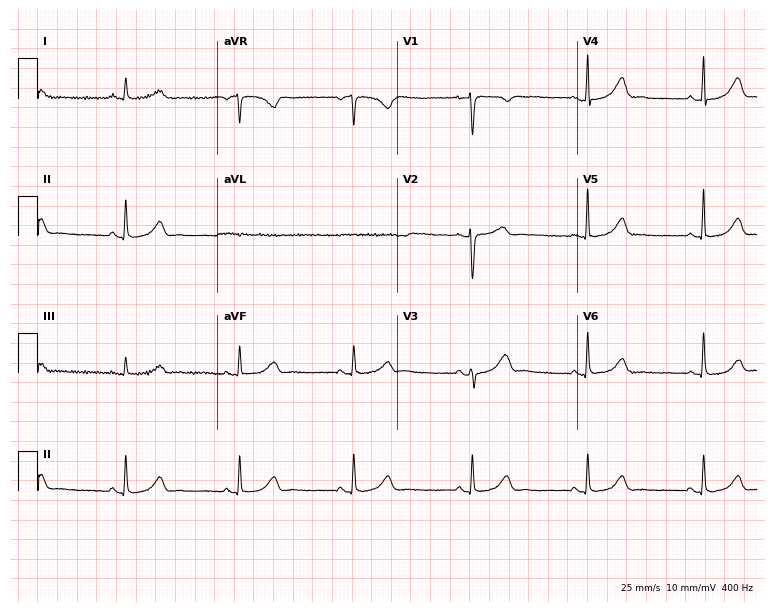
Electrocardiogram (7.3-second recording at 400 Hz), a female patient, 46 years old. Overall reading on record: normal ECG.